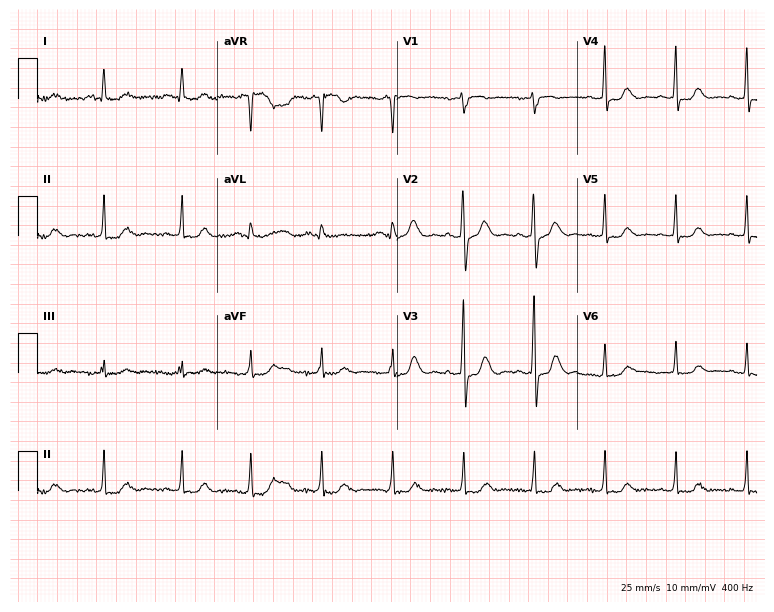
12-lead ECG from a female, 57 years old (7.3-second recording at 400 Hz). No first-degree AV block, right bundle branch block, left bundle branch block, sinus bradycardia, atrial fibrillation or sinus tachycardia recorded for this tracing.